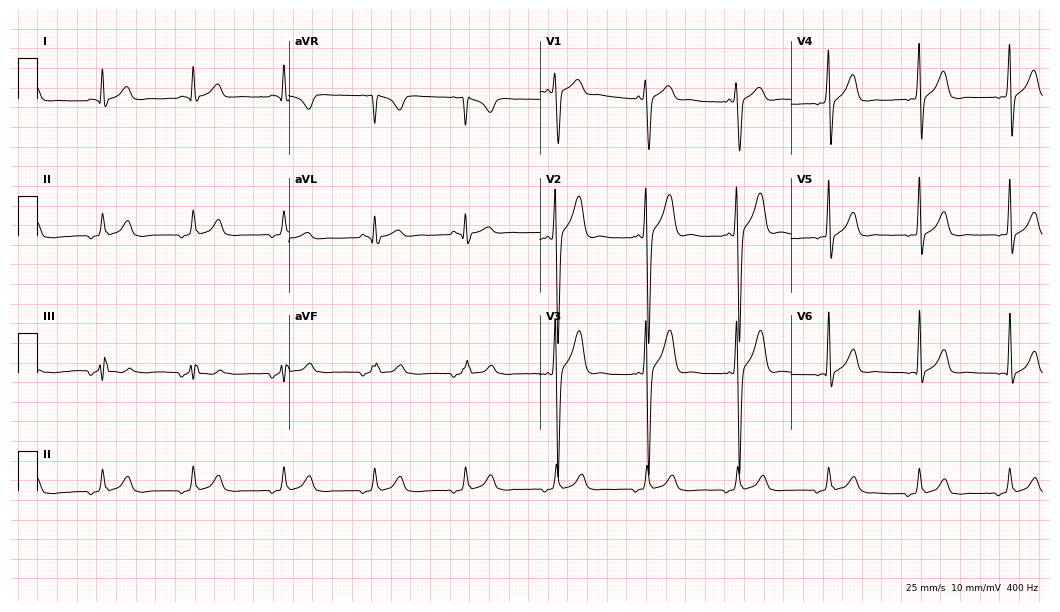
Resting 12-lead electrocardiogram (10.2-second recording at 400 Hz). Patient: a 43-year-old male. None of these six findings is recorded: first-degree AV block, right bundle branch block (RBBB), left bundle branch block (LBBB), sinus bradycardia, atrial fibrillation (AF), sinus tachycardia.